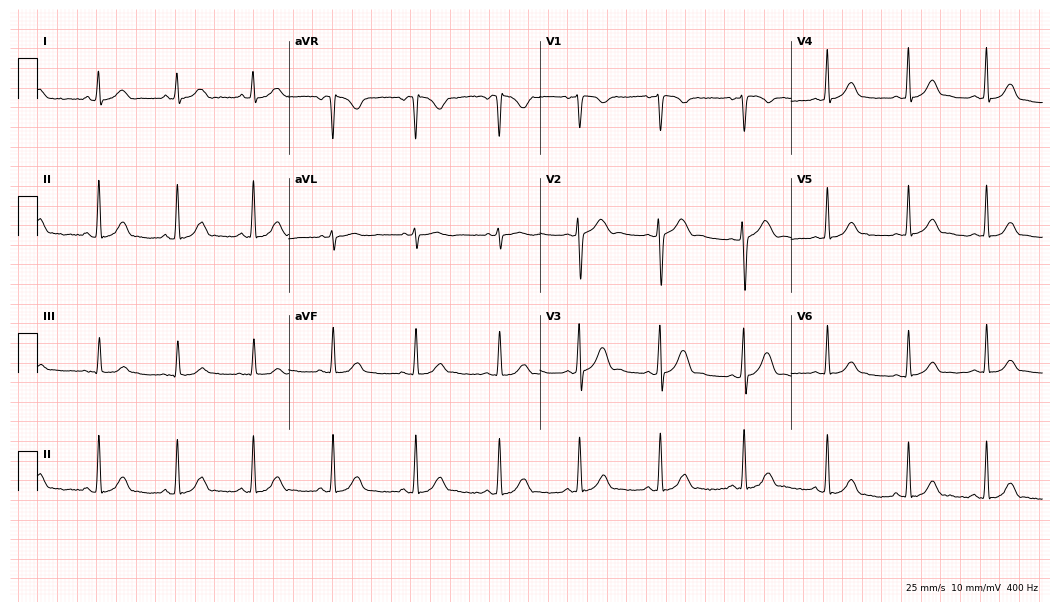
Electrocardiogram, a woman, 27 years old. Overall reading on record: normal ECG.